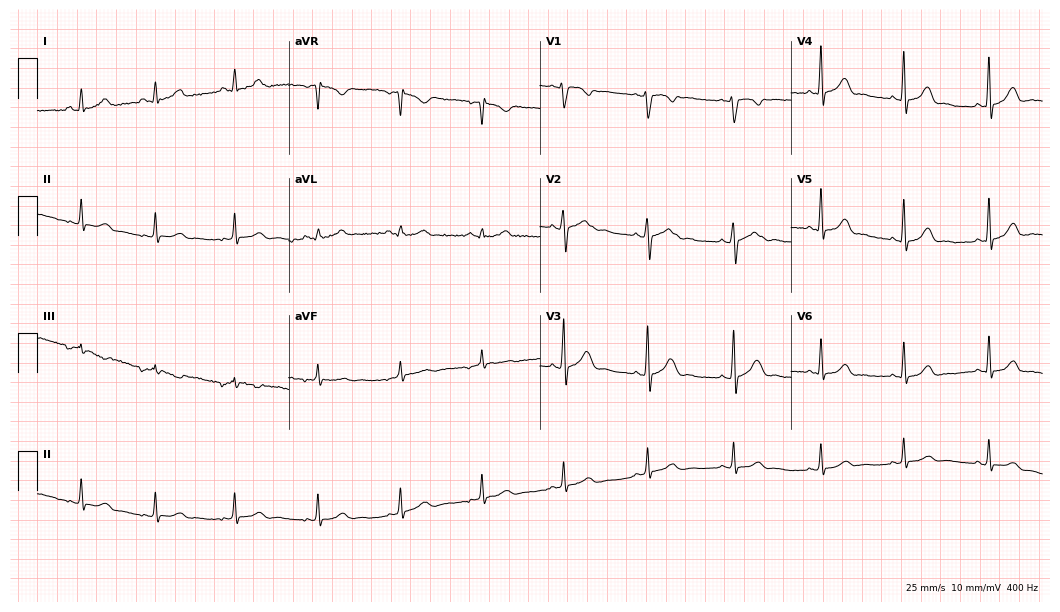
Standard 12-lead ECG recorded from a female, 22 years old. Read as a normal ECG.